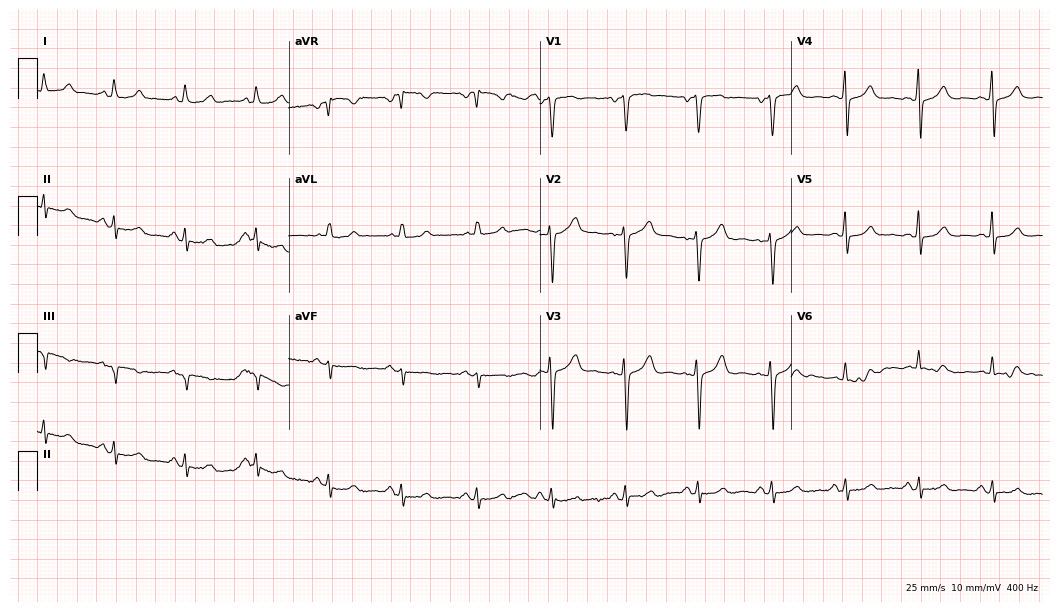
12-lead ECG from a 59-year-old female. Screened for six findings — first-degree AV block, right bundle branch block (RBBB), left bundle branch block (LBBB), sinus bradycardia, atrial fibrillation (AF), sinus tachycardia — none is recorded. Only these six findings were labelled.